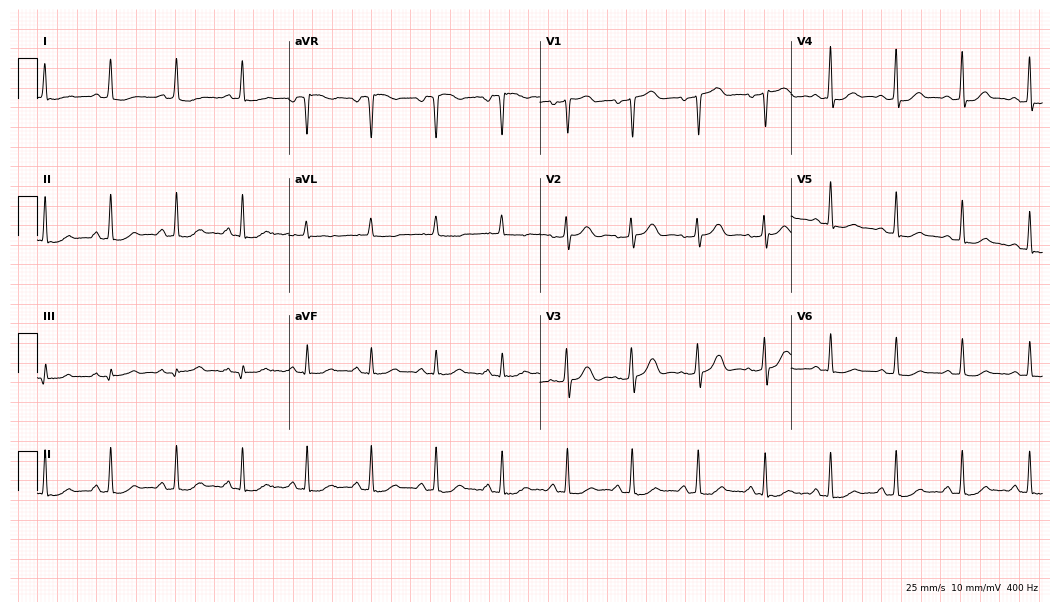
Standard 12-lead ECG recorded from a female patient, 56 years old (10.2-second recording at 400 Hz). None of these six findings is recorded: first-degree AV block, right bundle branch block (RBBB), left bundle branch block (LBBB), sinus bradycardia, atrial fibrillation (AF), sinus tachycardia. Other findings, if any, are not listed.